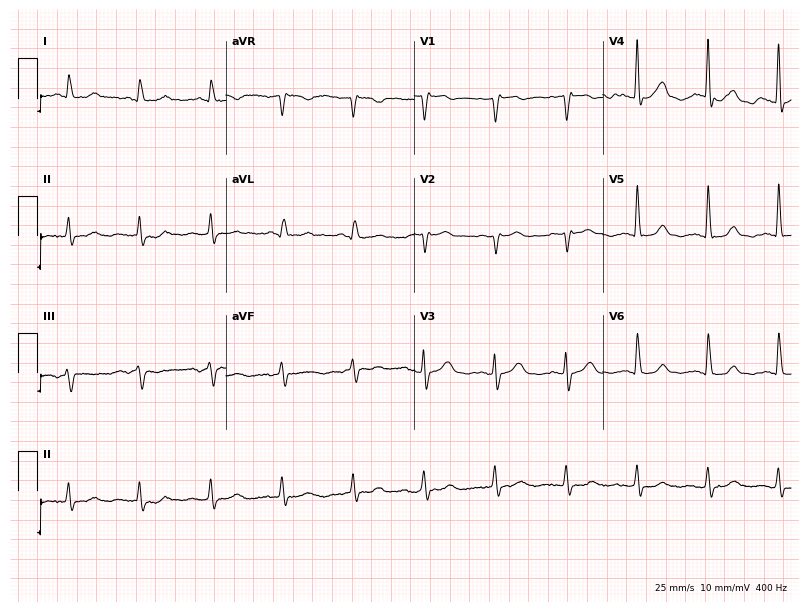
Electrocardiogram (7.7-second recording at 400 Hz), a male patient, 82 years old. Overall reading on record: normal ECG.